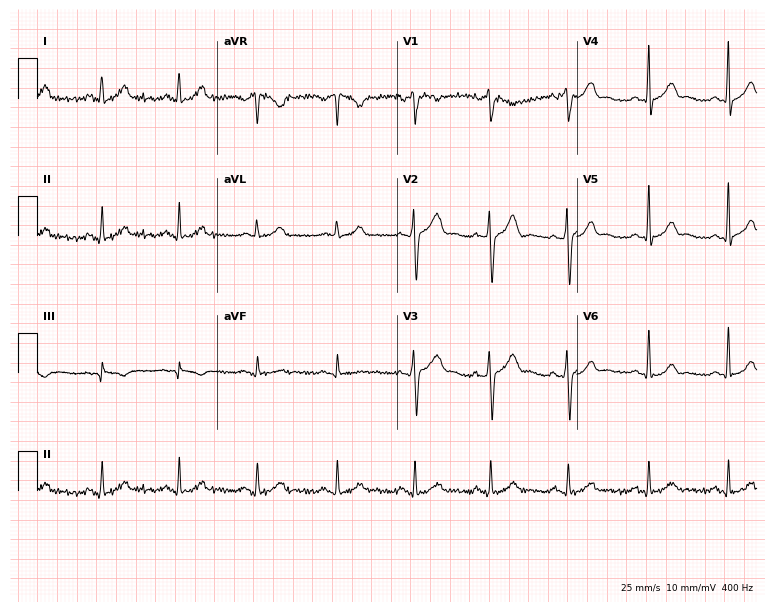
12-lead ECG (7.3-second recording at 400 Hz) from a 32-year-old man. Labelled as a normal ECG.